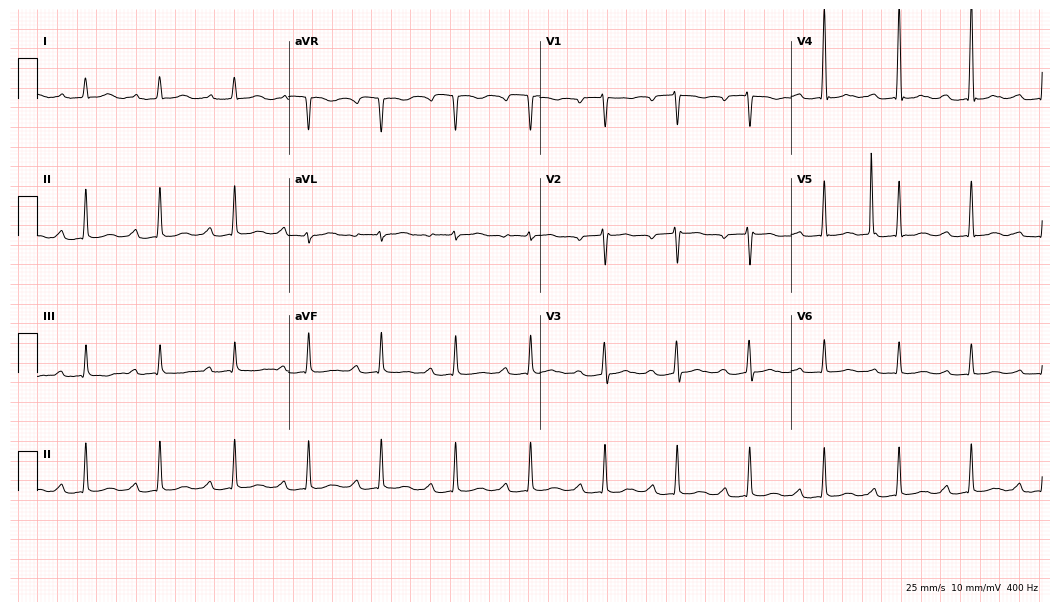
Electrocardiogram (10.2-second recording at 400 Hz), a 51-year-old female patient. Interpretation includes first-degree AV block.